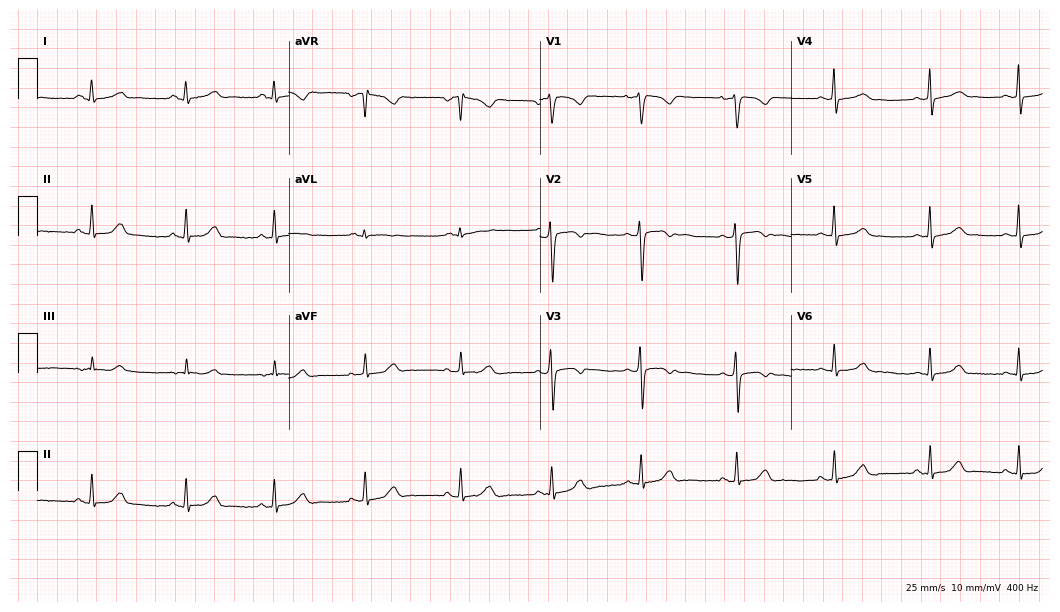
12-lead ECG from a 21-year-old female patient. Screened for six findings — first-degree AV block, right bundle branch block (RBBB), left bundle branch block (LBBB), sinus bradycardia, atrial fibrillation (AF), sinus tachycardia — none is recorded.